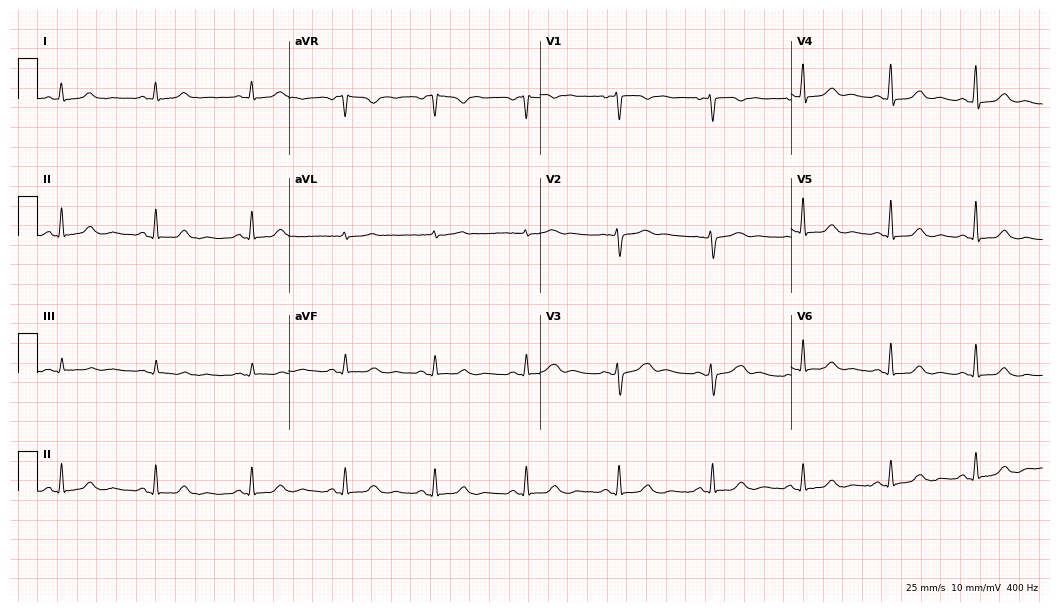
12-lead ECG from a female patient, 45 years old. Screened for six findings — first-degree AV block, right bundle branch block, left bundle branch block, sinus bradycardia, atrial fibrillation, sinus tachycardia — none is recorded. Other findings, if any, are not listed.